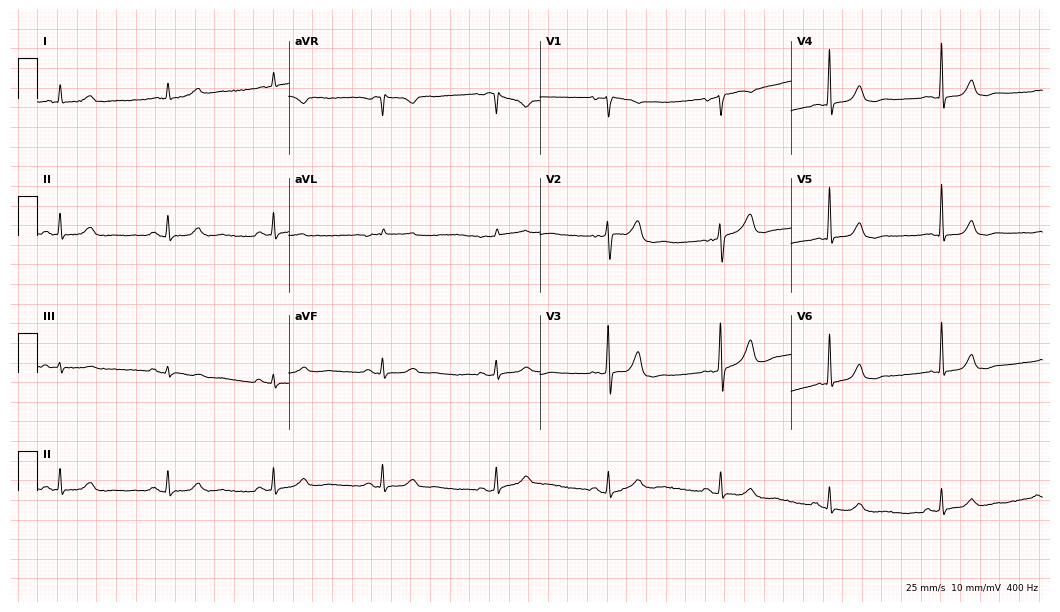
Electrocardiogram (10.2-second recording at 400 Hz), an 85-year-old female patient. Of the six screened findings (first-degree AV block, right bundle branch block, left bundle branch block, sinus bradycardia, atrial fibrillation, sinus tachycardia), none is recorded.